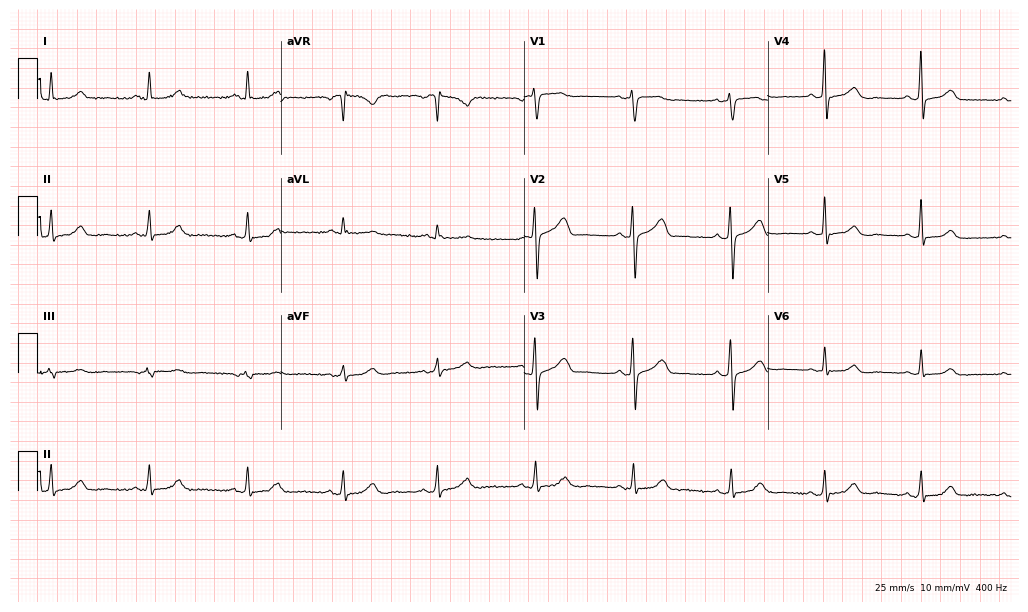
Electrocardiogram (9.9-second recording at 400 Hz), a female patient, 54 years old. Overall reading on record: normal ECG.